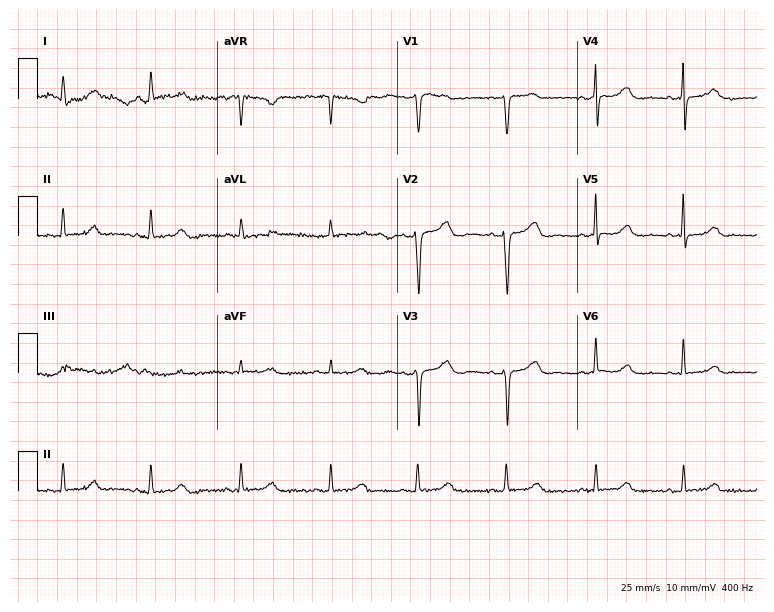
12-lead ECG from a woman, 53 years old (7.3-second recording at 400 Hz). Recorded interpretation: within normal limits.